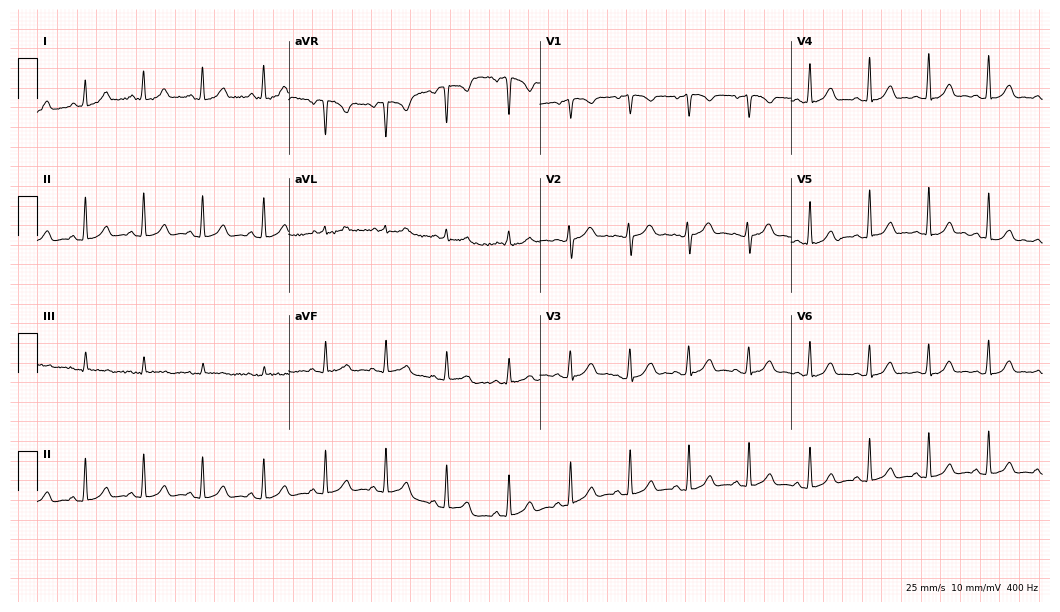
12-lead ECG from a 37-year-old female patient. No first-degree AV block, right bundle branch block, left bundle branch block, sinus bradycardia, atrial fibrillation or sinus tachycardia recorded for this tracing. Other findings, if any, are not listed.